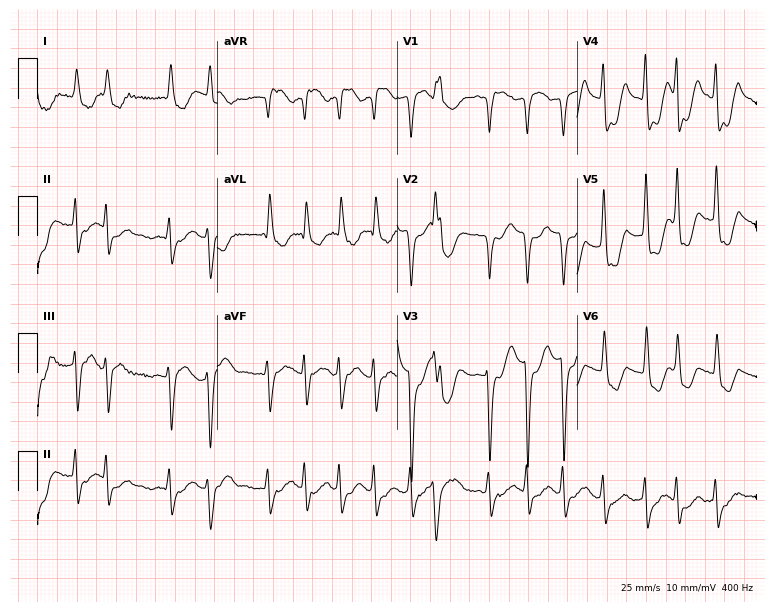
Standard 12-lead ECG recorded from a 77-year-old woman (7.3-second recording at 400 Hz). The tracing shows atrial fibrillation.